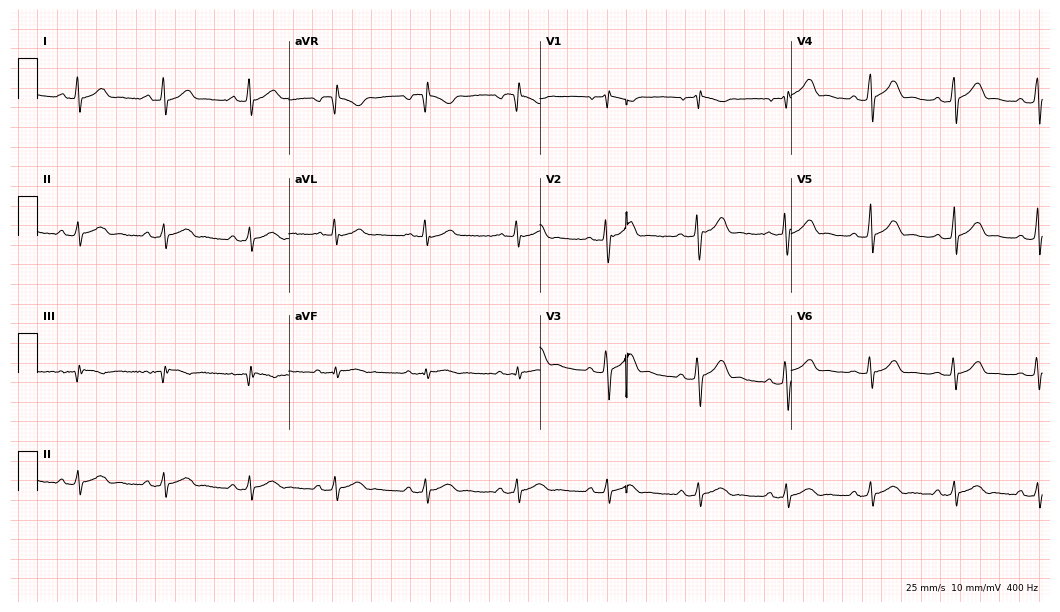
Electrocardiogram, a male, 24 years old. Of the six screened findings (first-degree AV block, right bundle branch block (RBBB), left bundle branch block (LBBB), sinus bradycardia, atrial fibrillation (AF), sinus tachycardia), none is recorded.